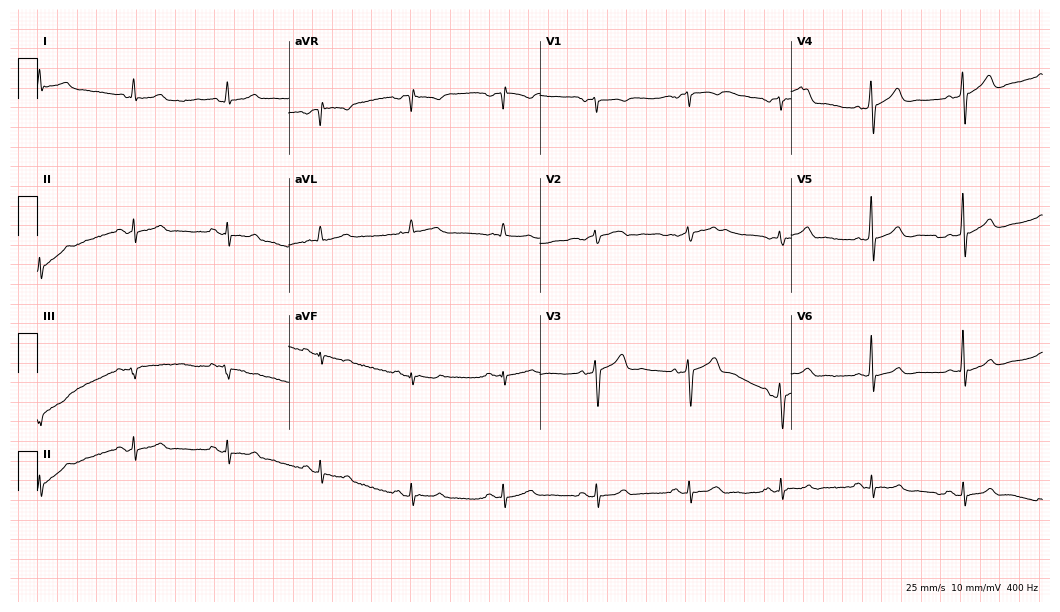
Standard 12-lead ECG recorded from a 54-year-old male (10.2-second recording at 400 Hz). Read as a normal ECG.